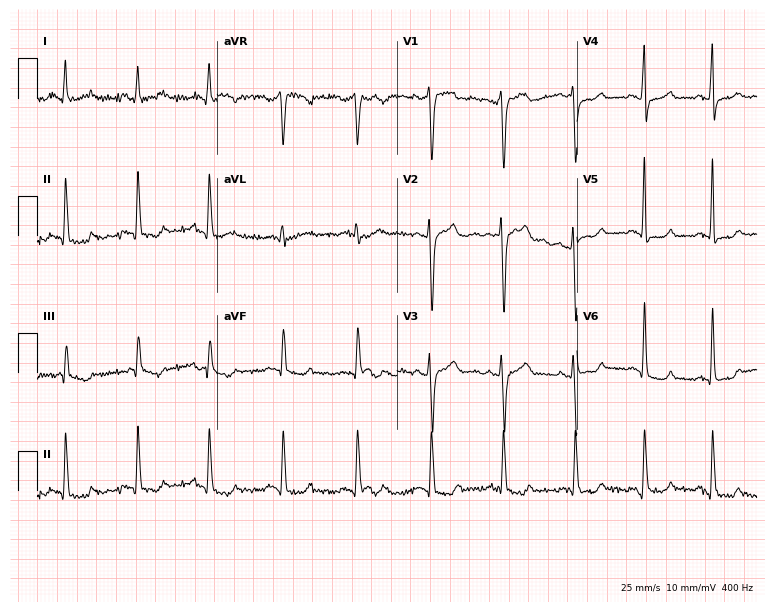
12-lead ECG from a 50-year-old female patient. Screened for six findings — first-degree AV block, right bundle branch block, left bundle branch block, sinus bradycardia, atrial fibrillation, sinus tachycardia — none is recorded.